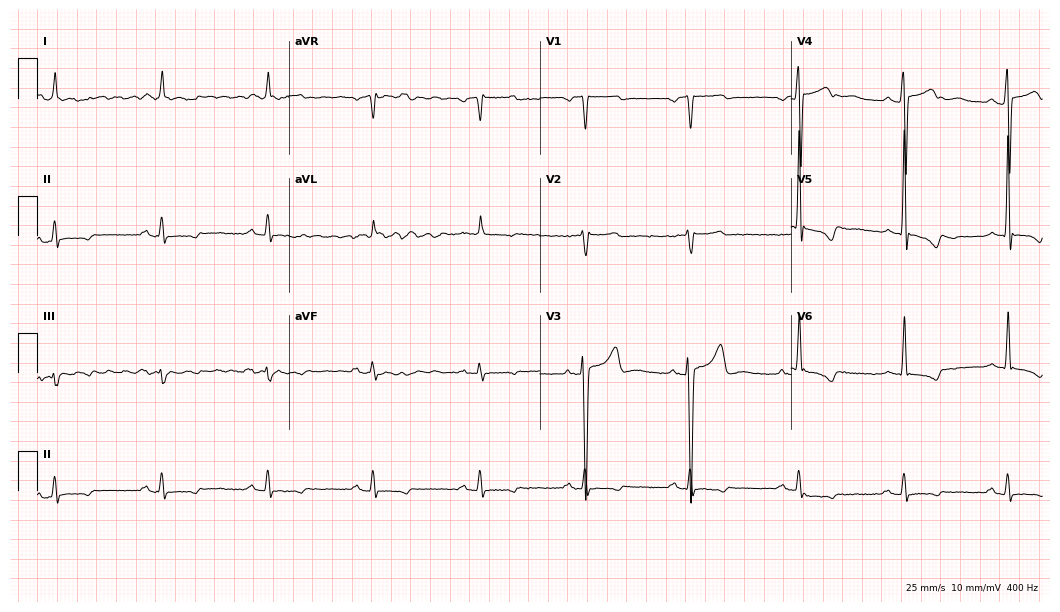
12-lead ECG from a 61-year-old male patient. Screened for six findings — first-degree AV block, right bundle branch block (RBBB), left bundle branch block (LBBB), sinus bradycardia, atrial fibrillation (AF), sinus tachycardia — none is recorded.